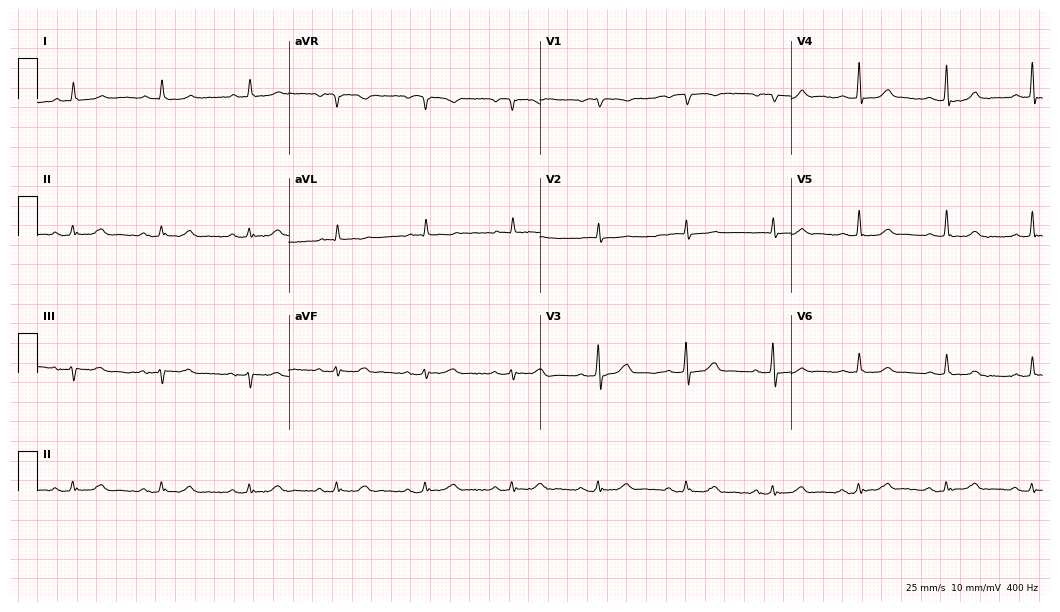
Standard 12-lead ECG recorded from a female patient, 85 years old (10.2-second recording at 400 Hz). Read as a normal ECG.